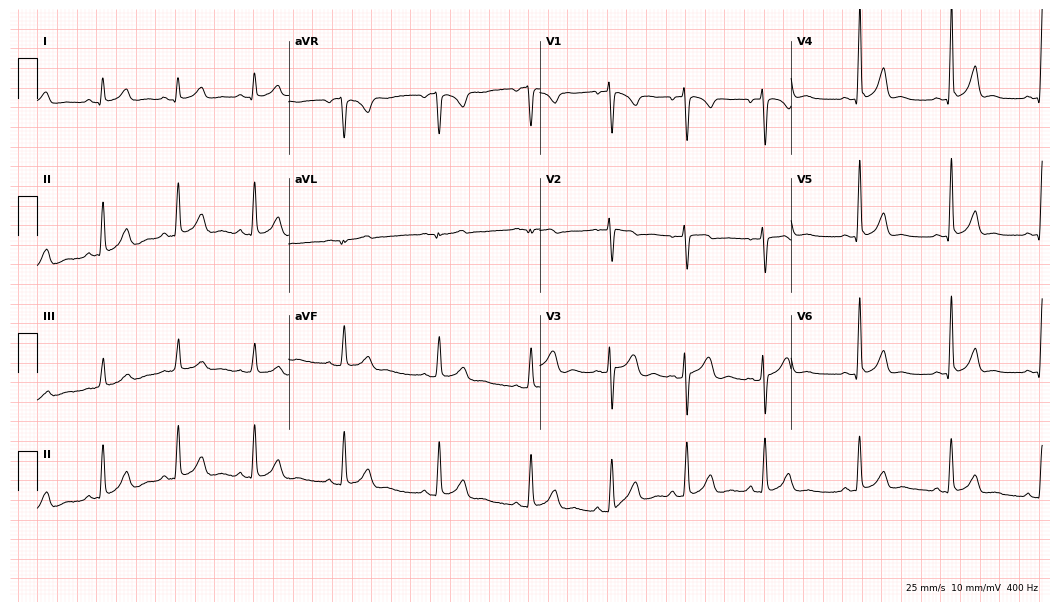
ECG (10.2-second recording at 400 Hz) — an 18-year-old woman. Screened for six findings — first-degree AV block, right bundle branch block, left bundle branch block, sinus bradycardia, atrial fibrillation, sinus tachycardia — none is recorded. Findings outside these six are not listed.